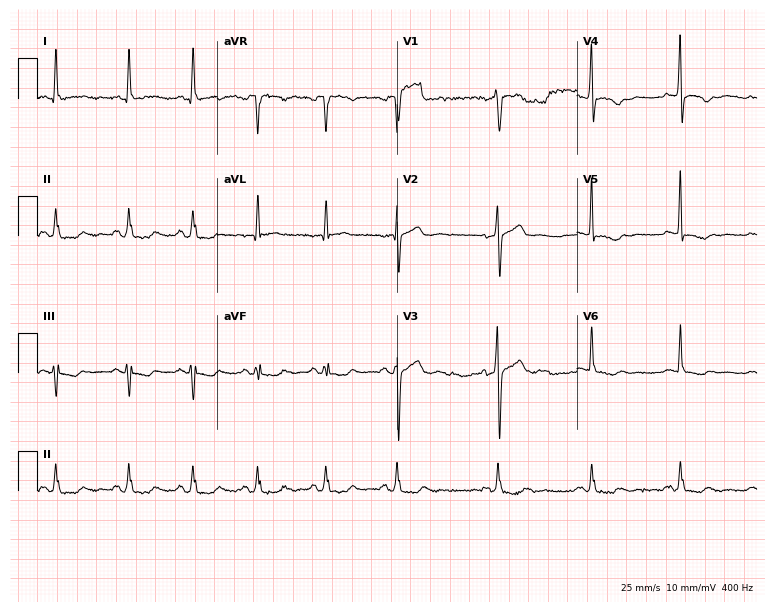
12-lead ECG from a male, 53 years old. No first-degree AV block, right bundle branch block (RBBB), left bundle branch block (LBBB), sinus bradycardia, atrial fibrillation (AF) or sinus tachycardia recorded for this tracing.